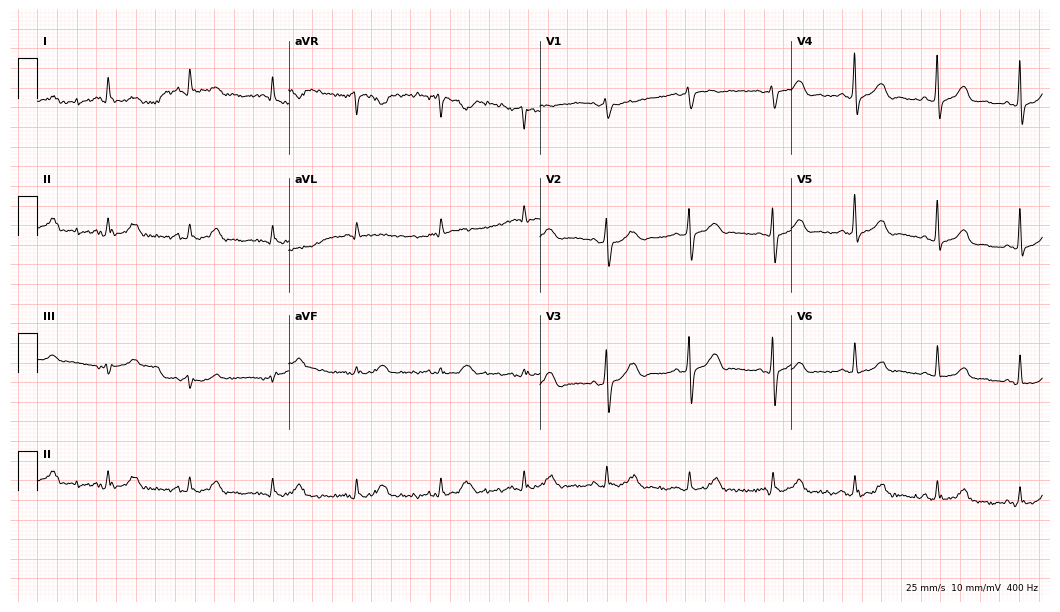
ECG — an 81-year-old male patient. Labelled as a normal ECG.